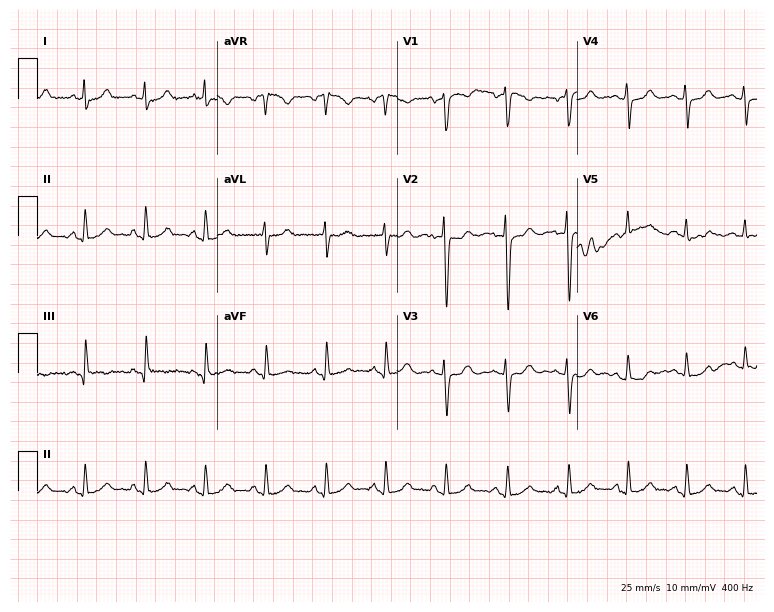
Electrocardiogram (7.3-second recording at 400 Hz), a 32-year-old female patient. Of the six screened findings (first-degree AV block, right bundle branch block, left bundle branch block, sinus bradycardia, atrial fibrillation, sinus tachycardia), none is recorded.